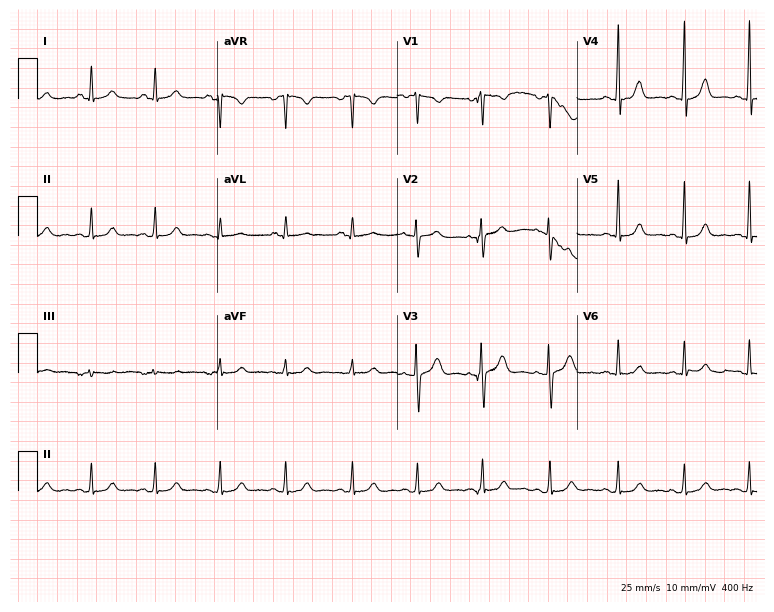
12-lead ECG (7.3-second recording at 400 Hz) from a 28-year-old female. Screened for six findings — first-degree AV block, right bundle branch block, left bundle branch block, sinus bradycardia, atrial fibrillation, sinus tachycardia — none is recorded. Only these six findings were labelled.